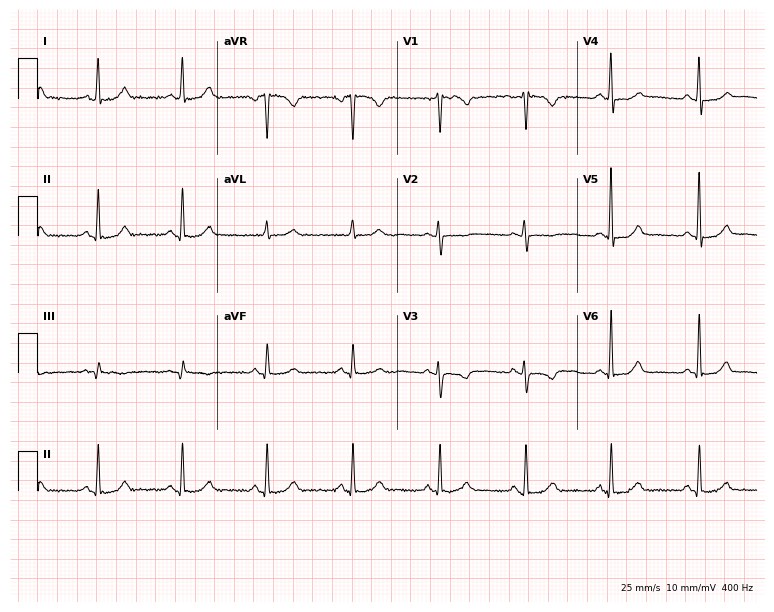
Standard 12-lead ECG recorded from a female patient, 71 years old (7.3-second recording at 400 Hz). None of these six findings is recorded: first-degree AV block, right bundle branch block (RBBB), left bundle branch block (LBBB), sinus bradycardia, atrial fibrillation (AF), sinus tachycardia.